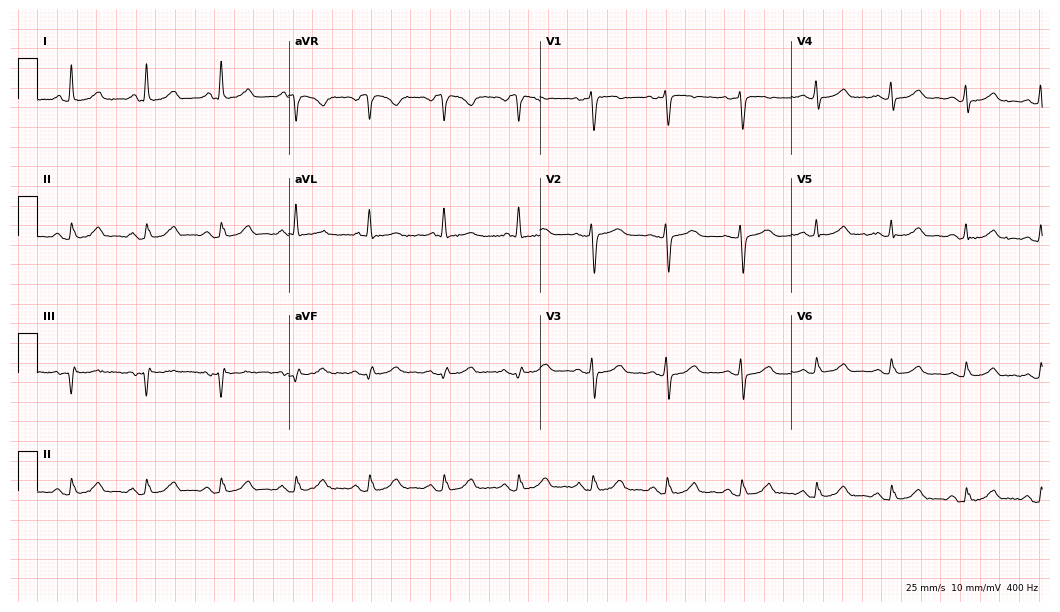
ECG — a female patient, 69 years old. Labelled as a normal ECG.